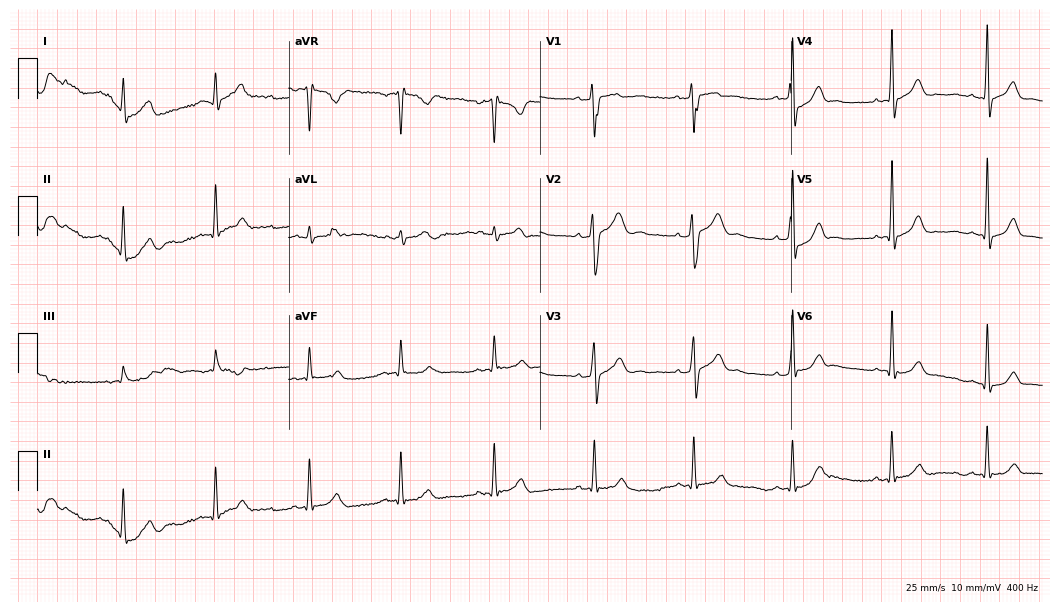
Electrocardiogram (10.2-second recording at 400 Hz), a male, 21 years old. Overall reading on record: normal ECG.